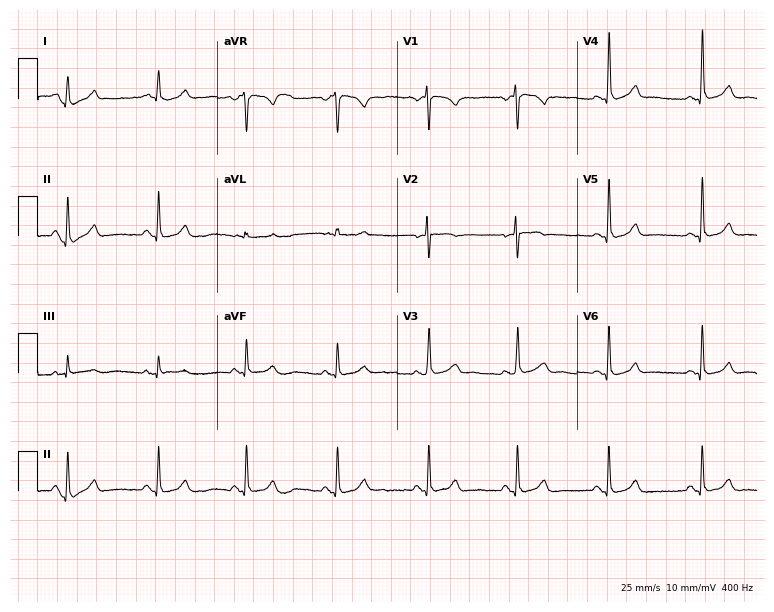
Standard 12-lead ECG recorded from a female, 38 years old. Read as a normal ECG.